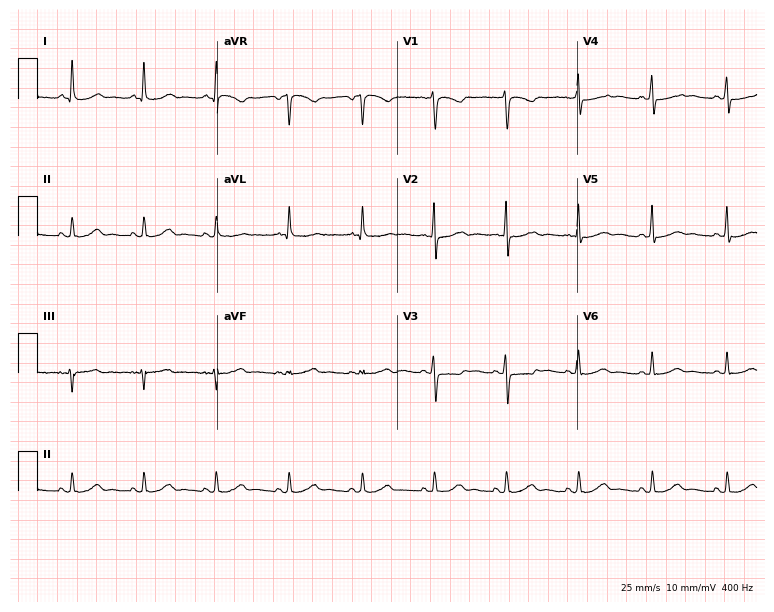
12-lead ECG from a 61-year-old woman. Labelled as a normal ECG.